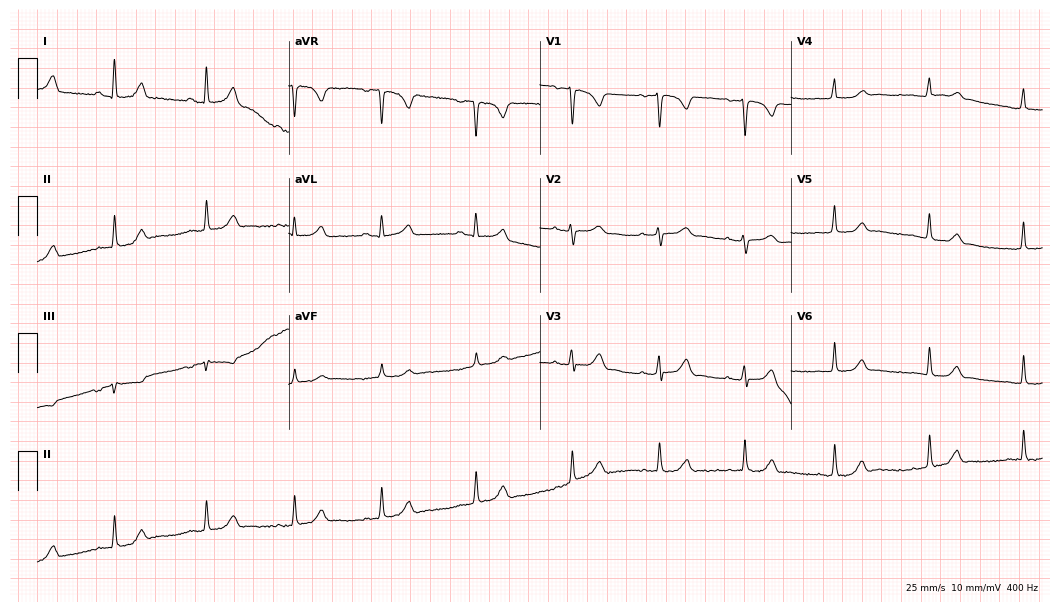
Resting 12-lead electrocardiogram (10.2-second recording at 400 Hz). Patient: a woman, 33 years old. Read as a normal ECG.